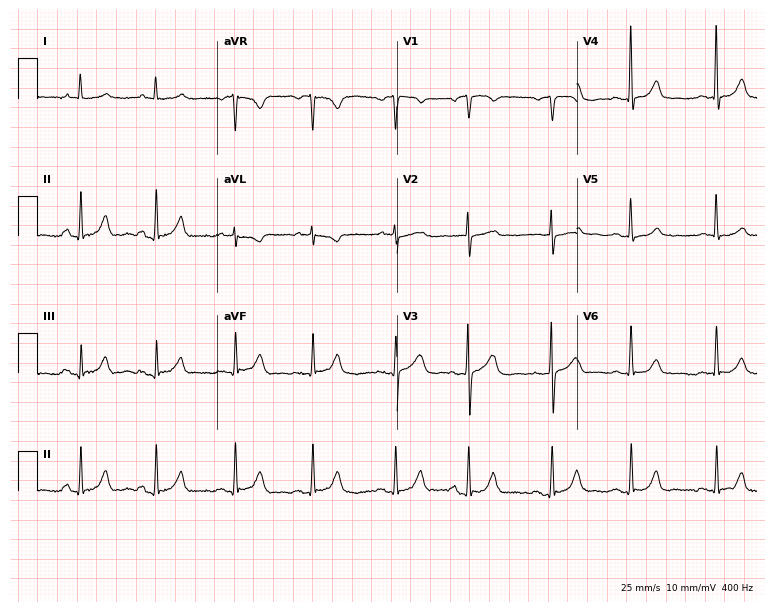
Resting 12-lead electrocardiogram. Patient: a female, 73 years old. None of these six findings is recorded: first-degree AV block, right bundle branch block (RBBB), left bundle branch block (LBBB), sinus bradycardia, atrial fibrillation (AF), sinus tachycardia. Findings outside these six are not listed.